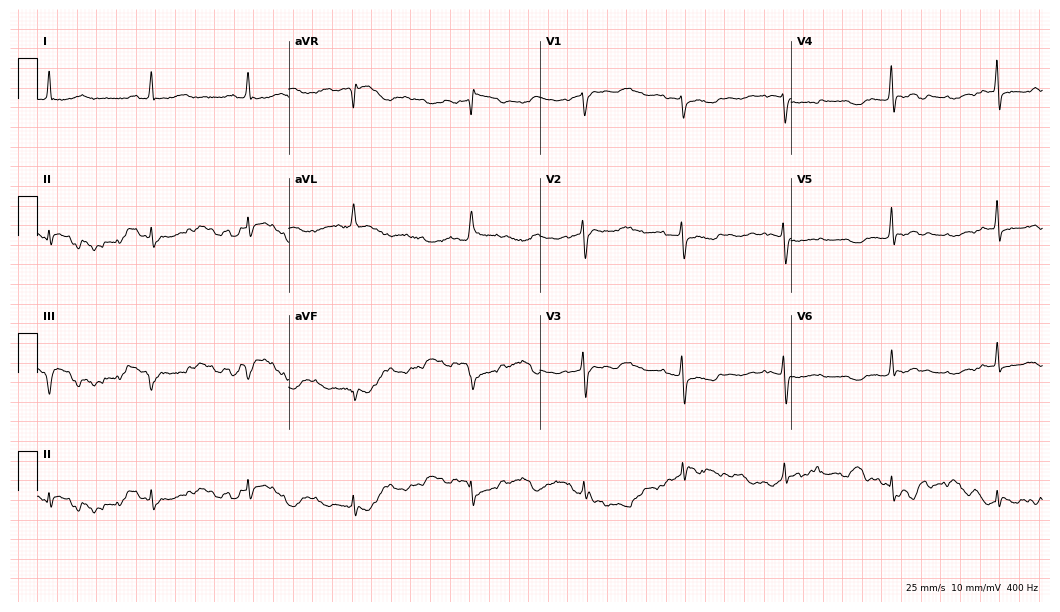
12-lead ECG (10.2-second recording at 400 Hz) from a woman, 58 years old. Screened for six findings — first-degree AV block, right bundle branch block (RBBB), left bundle branch block (LBBB), sinus bradycardia, atrial fibrillation (AF), sinus tachycardia — none is recorded.